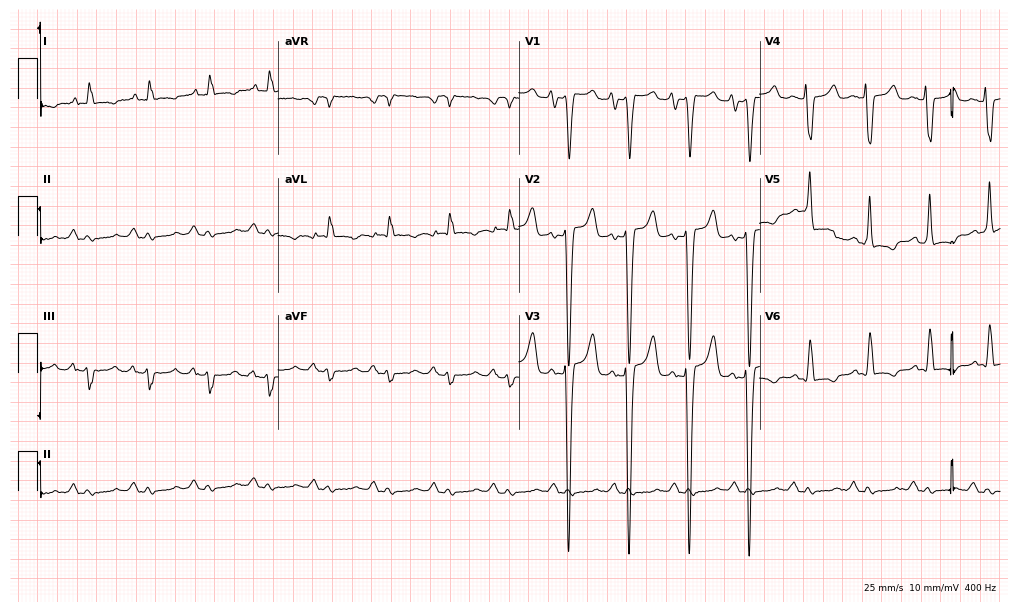
Standard 12-lead ECG recorded from a 43-year-old male (9.8-second recording at 400 Hz). None of these six findings is recorded: first-degree AV block, right bundle branch block (RBBB), left bundle branch block (LBBB), sinus bradycardia, atrial fibrillation (AF), sinus tachycardia. Findings outside these six are not listed.